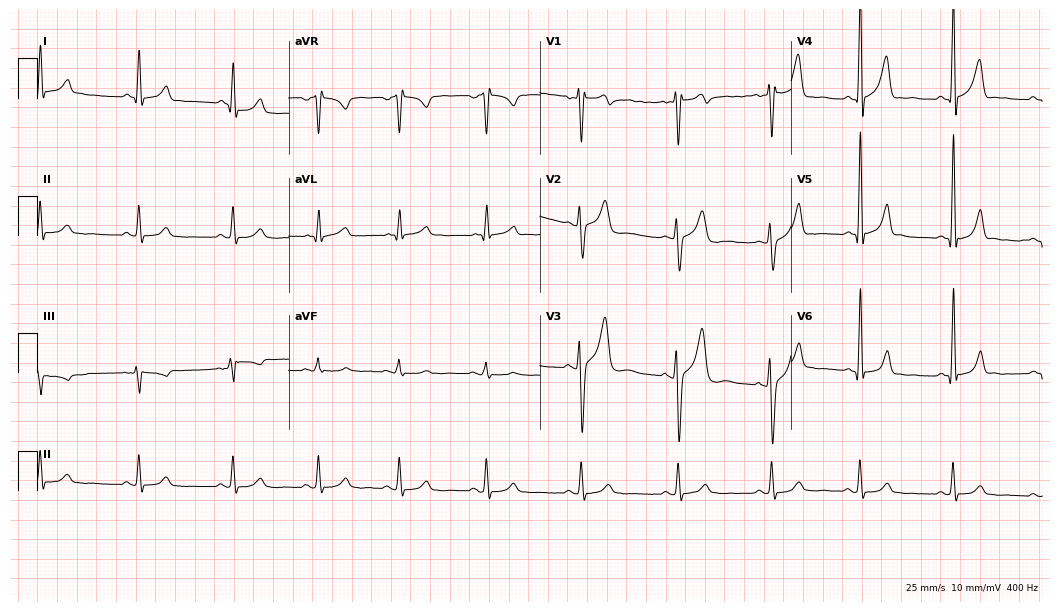
12-lead ECG (10.2-second recording at 400 Hz) from a 40-year-old man. Screened for six findings — first-degree AV block, right bundle branch block, left bundle branch block, sinus bradycardia, atrial fibrillation, sinus tachycardia — none is recorded. Findings outside these six are not listed.